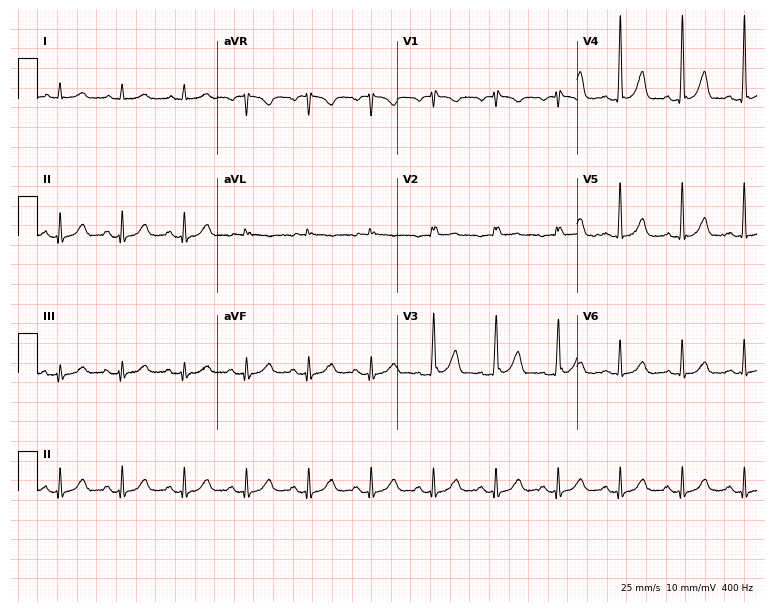
12-lead ECG from a 70-year-old male patient. Labelled as a normal ECG.